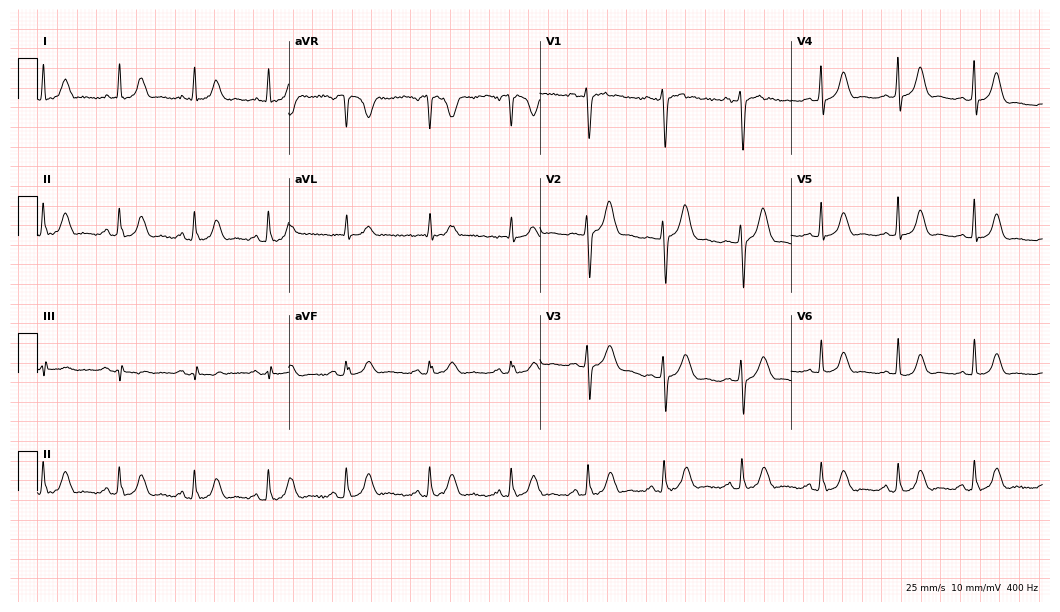
Resting 12-lead electrocardiogram. Patient: a female, 38 years old. Read as a normal ECG.